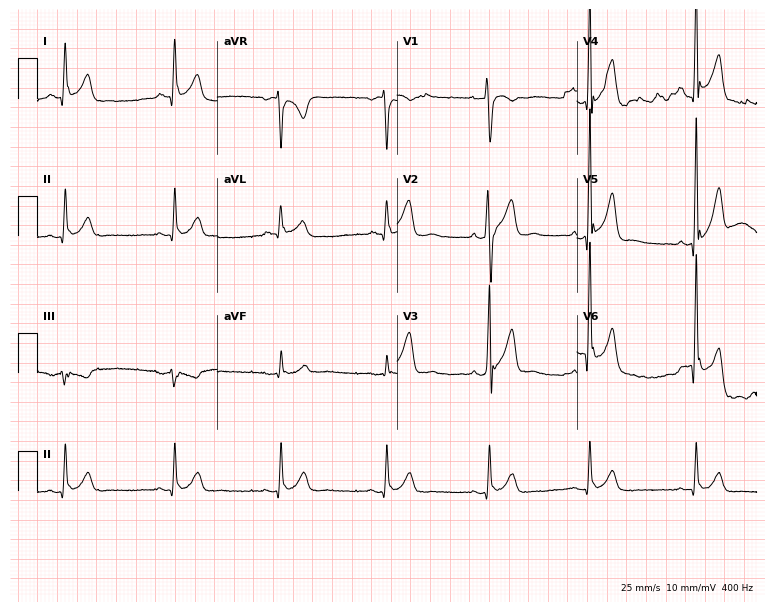
Resting 12-lead electrocardiogram (7.3-second recording at 400 Hz). Patient: a man, 27 years old. None of these six findings is recorded: first-degree AV block, right bundle branch block, left bundle branch block, sinus bradycardia, atrial fibrillation, sinus tachycardia. Other findings, if any, are not listed.